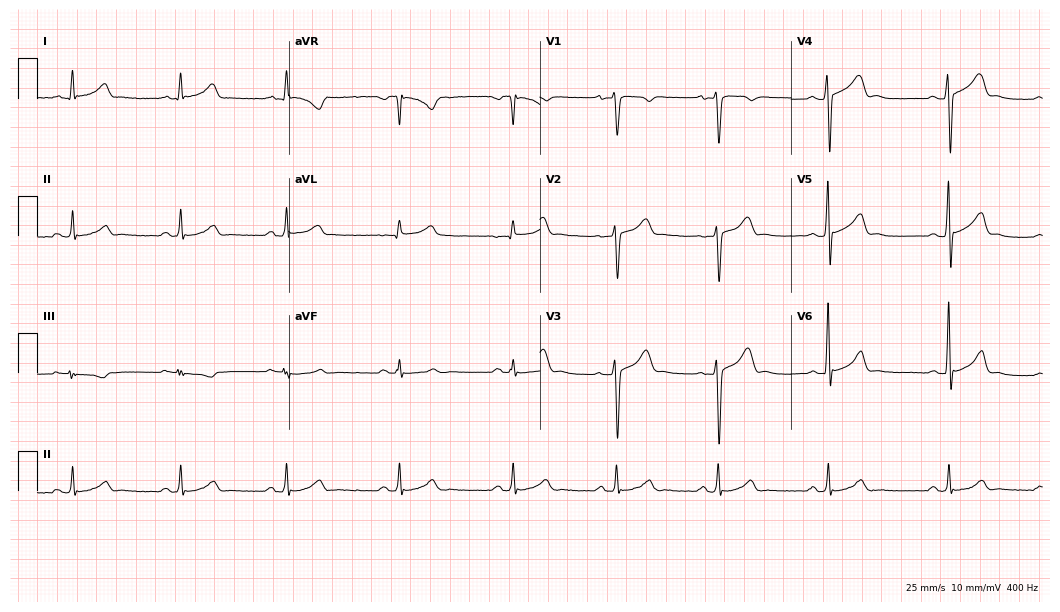
Electrocardiogram, a 31-year-old male patient. Overall reading on record: normal ECG.